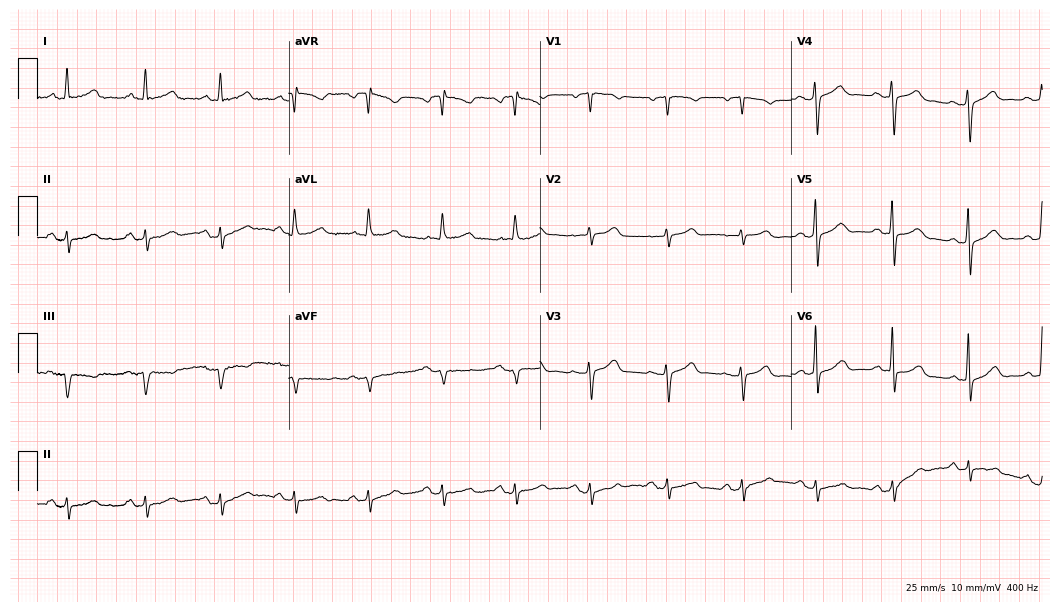
12-lead ECG from a female, 73 years old (10.2-second recording at 400 Hz). No first-degree AV block, right bundle branch block (RBBB), left bundle branch block (LBBB), sinus bradycardia, atrial fibrillation (AF) or sinus tachycardia recorded for this tracing. Findings outside these six are not listed.